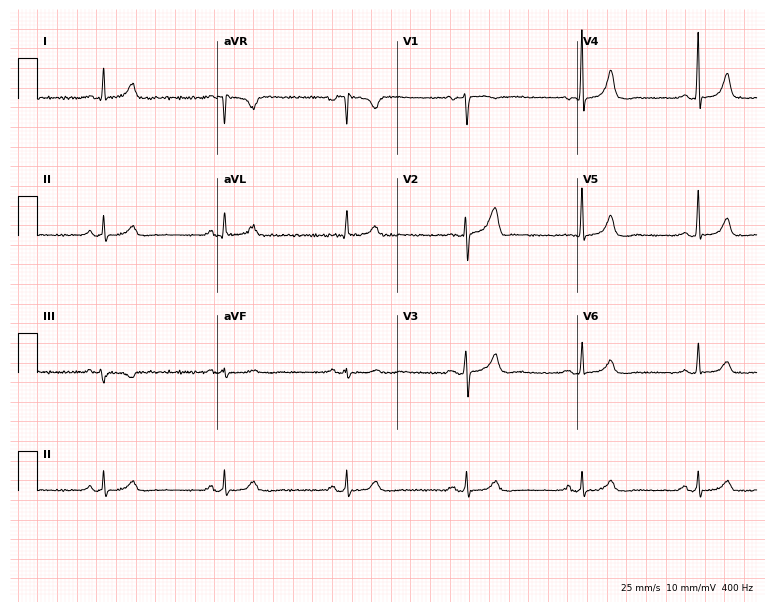
12-lead ECG from a 51-year-old man (7.3-second recording at 400 Hz). Shows sinus bradycardia (a sinus rate of 50 beats per minute or less).